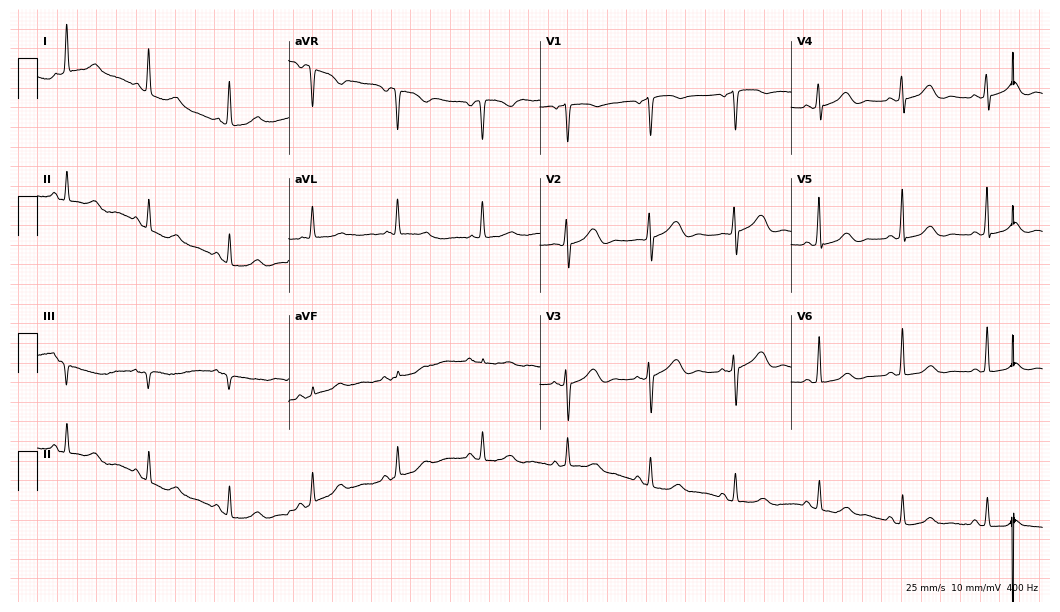
ECG (10.2-second recording at 400 Hz) — a female, 78 years old. Labelled as a normal ECG.